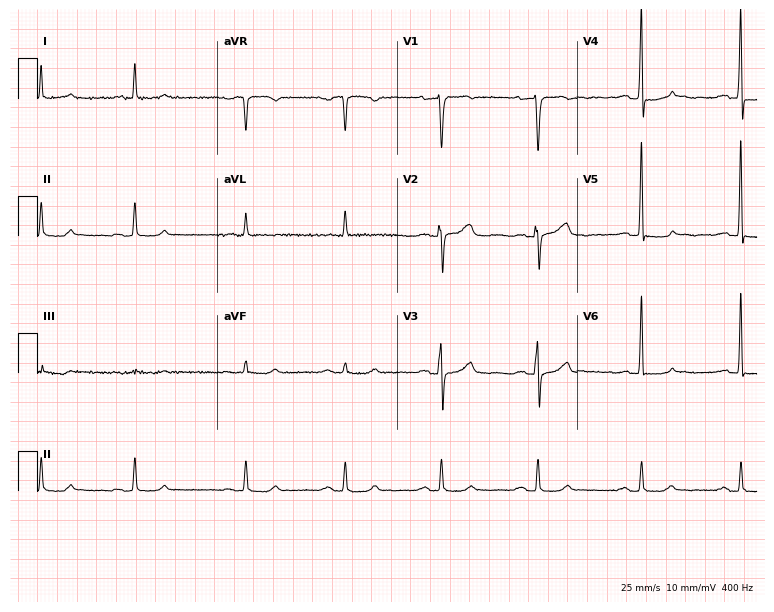
Standard 12-lead ECG recorded from a 64-year-old female (7.3-second recording at 400 Hz). None of these six findings is recorded: first-degree AV block, right bundle branch block, left bundle branch block, sinus bradycardia, atrial fibrillation, sinus tachycardia.